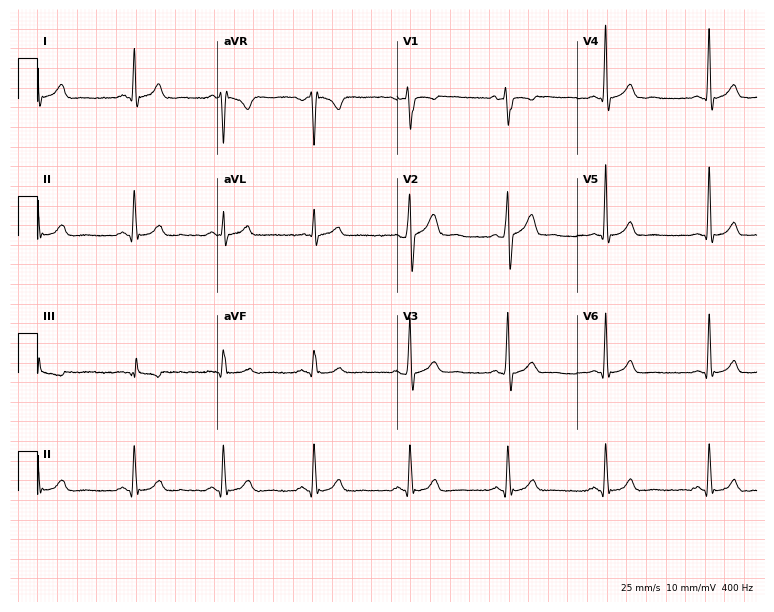
Resting 12-lead electrocardiogram. Patient: a male, 29 years old. Read as a normal ECG.